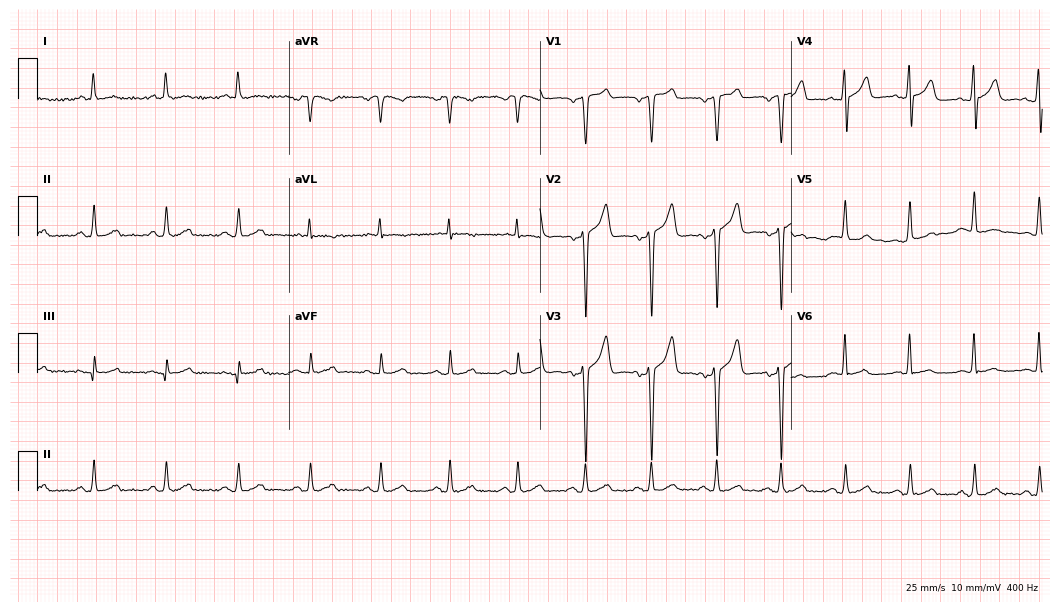
Electrocardiogram, a 59-year-old male. Of the six screened findings (first-degree AV block, right bundle branch block, left bundle branch block, sinus bradycardia, atrial fibrillation, sinus tachycardia), none is recorded.